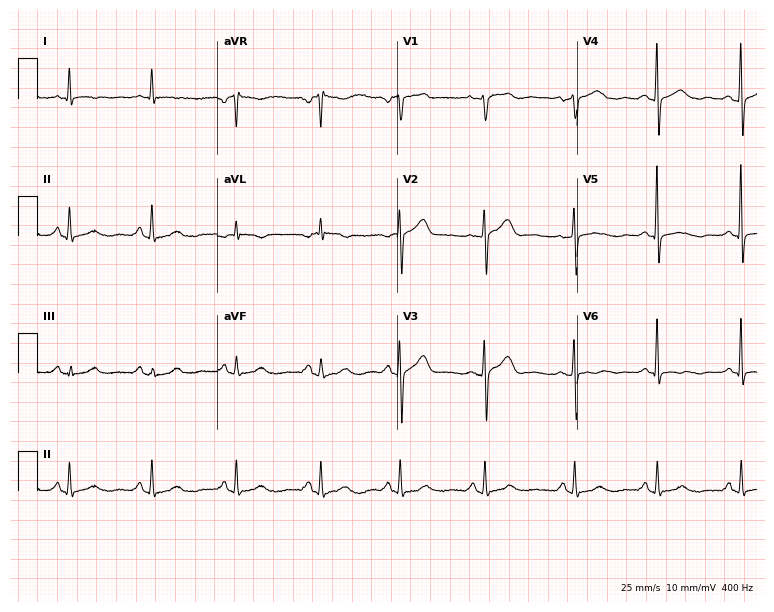
ECG — a female patient, 63 years old. Screened for six findings — first-degree AV block, right bundle branch block, left bundle branch block, sinus bradycardia, atrial fibrillation, sinus tachycardia — none is recorded. Findings outside these six are not listed.